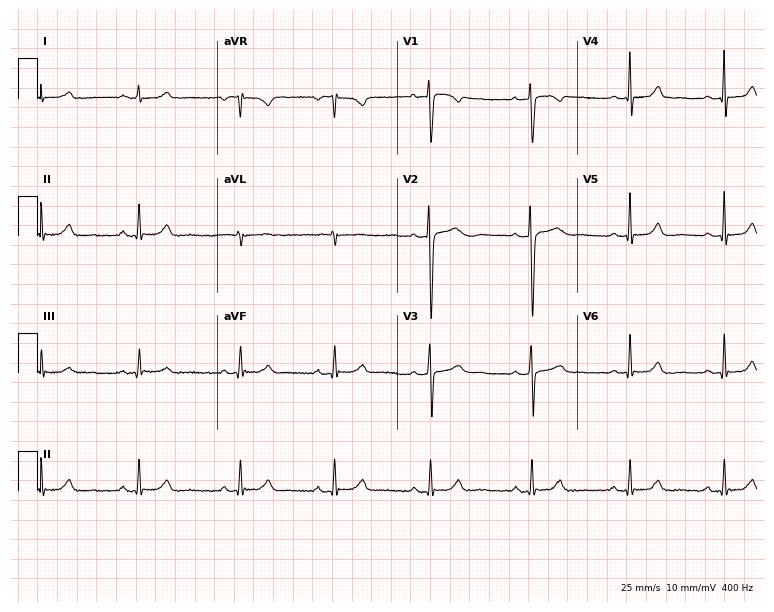
12-lead ECG from a female patient, 31 years old (7.3-second recording at 400 Hz). Recorded interpretation: within normal limits.